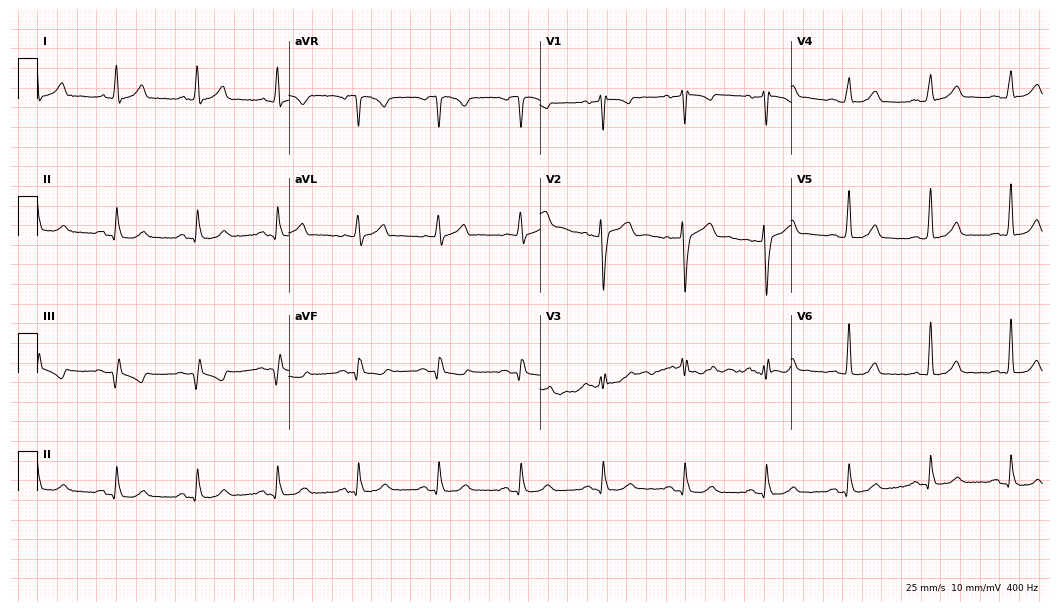
Resting 12-lead electrocardiogram (10.2-second recording at 400 Hz). Patient: a male, 54 years old. Read as a normal ECG.